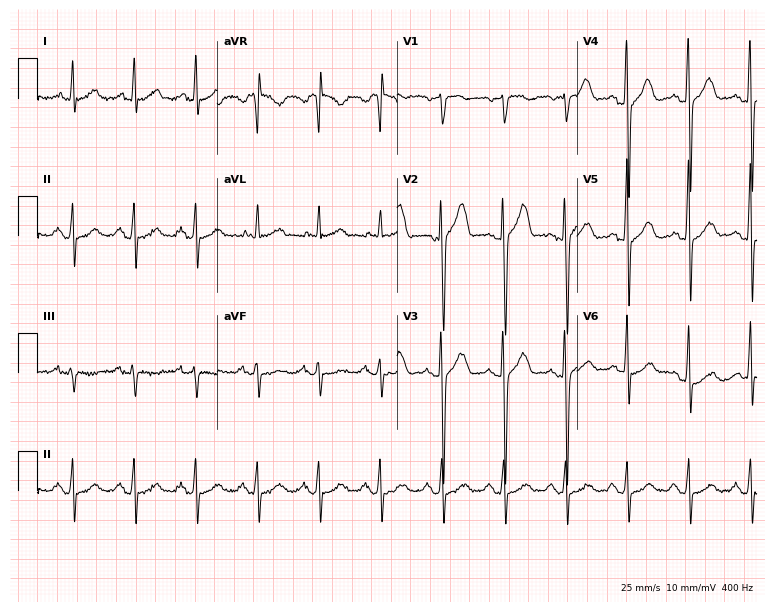
Electrocardiogram (7.3-second recording at 400 Hz), a 51-year-old male. Overall reading on record: normal ECG.